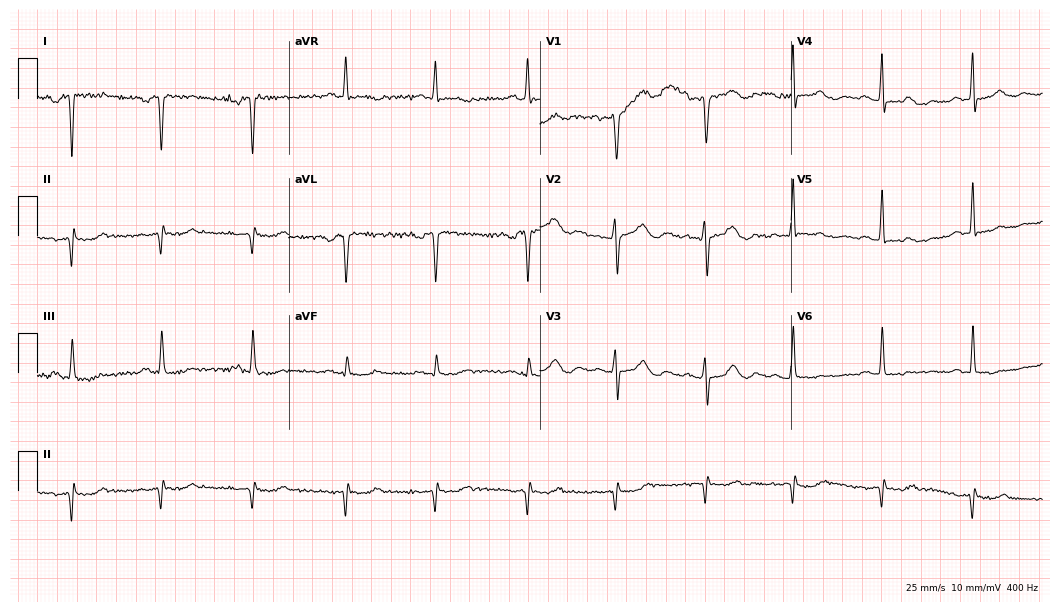
Standard 12-lead ECG recorded from a 47-year-old female patient (10.2-second recording at 400 Hz). None of these six findings is recorded: first-degree AV block, right bundle branch block, left bundle branch block, sinus bradycardia, atrial fibrillation, sinus tachycardia. Other findings, if any, are not listed.